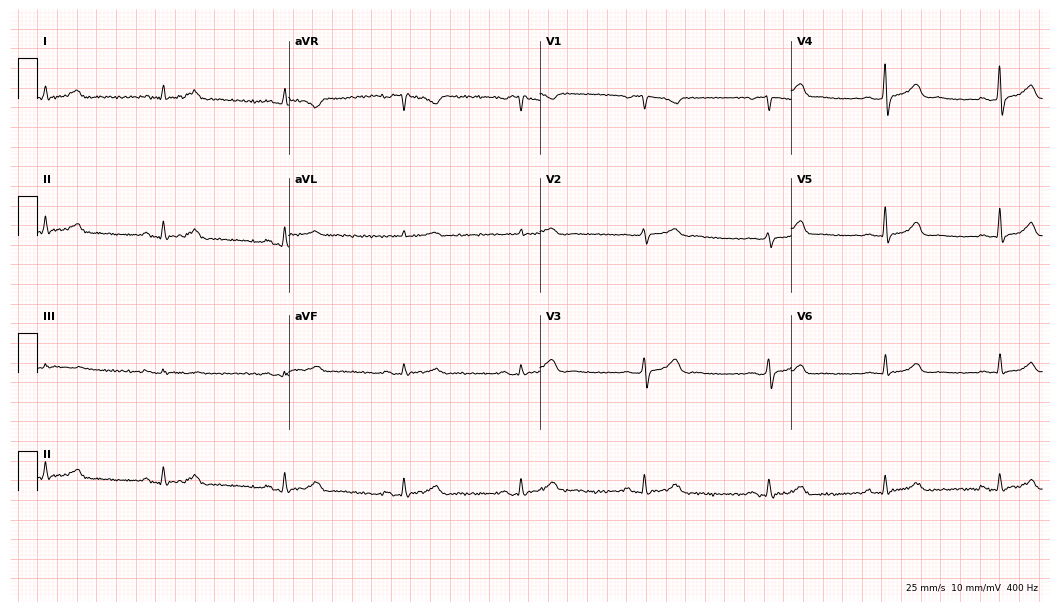
12-lead ECG (10.2-second recording at 400 Hz) from a female, 40 years old. Labelled as a normal ECG.